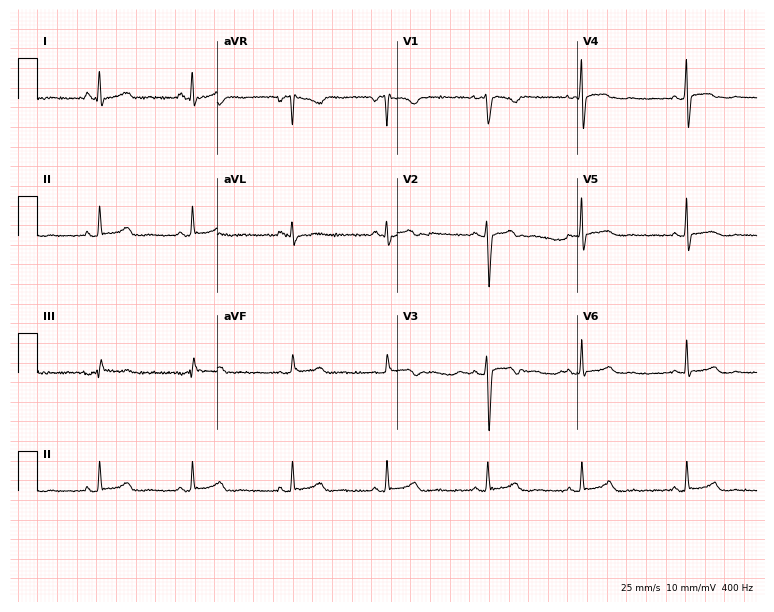
Standard 12-lead ECG recorded from a female patient, 35 years old. None of these six findings is recorded: first-degree AV block, right bundle branch block, left bundle branch block, sinus bradycardia, atrial fibrillation, sinus tachycardia.